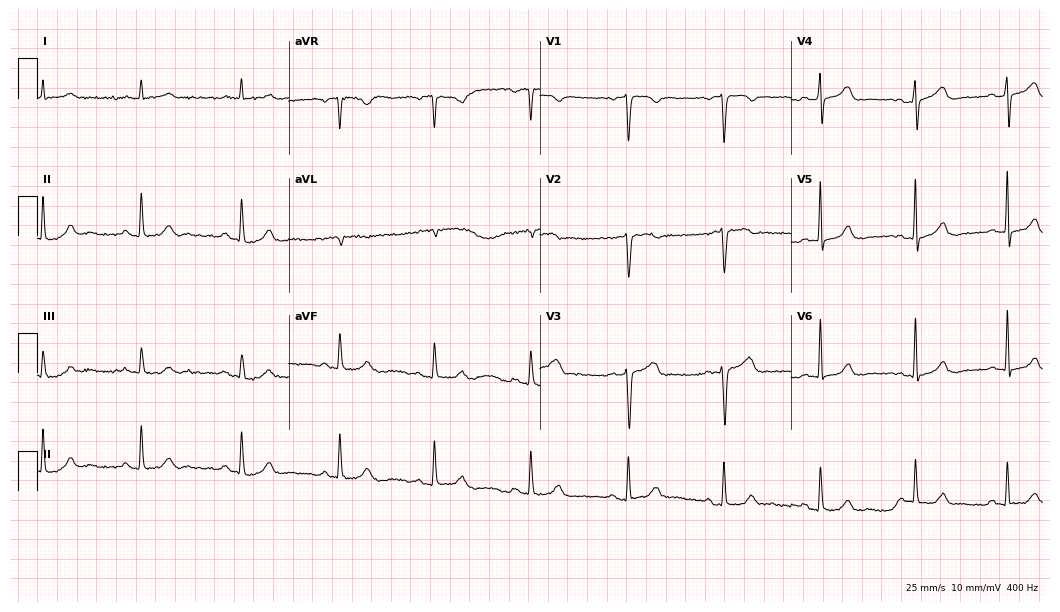
12-lead ECG (10.2-second recording at 400 Hz) from a man, 81 years old. Screened for six findings — first-degree AV block, right bundle branch block, left bundle branch block, sinus bradycardia, atrial fibrillation, sinus tachycardia — none is recorded. Only these six findings were labelled.